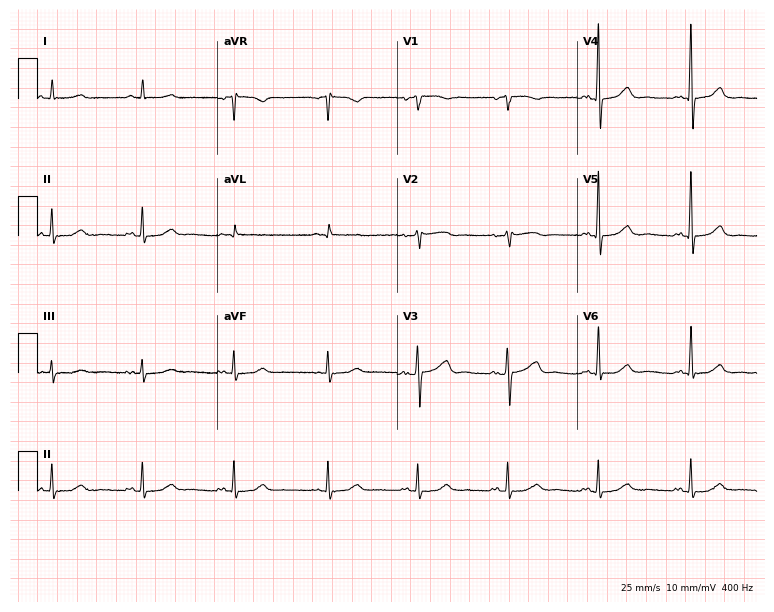
12-lead ECG from a 78-year-old female patient (7.3-second recording at 400 Hz). No first-degree AV block, right bundle branch block, left bundle branch block, sinus bradycardia, atrial fibrillation or sinus tachycardia recorded for this tracing. Findings outside these six are not listed.